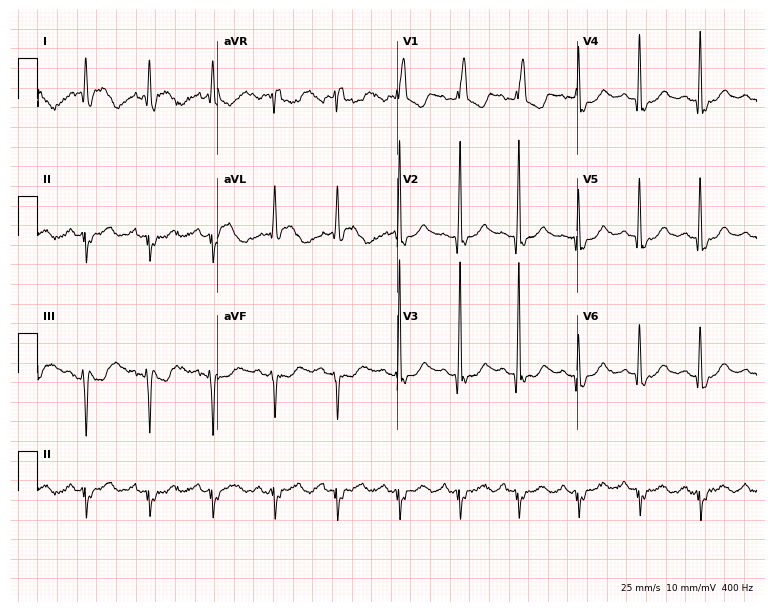
12-lead ECG from a 57-year-old male patient. Findings include right bundle branch block.